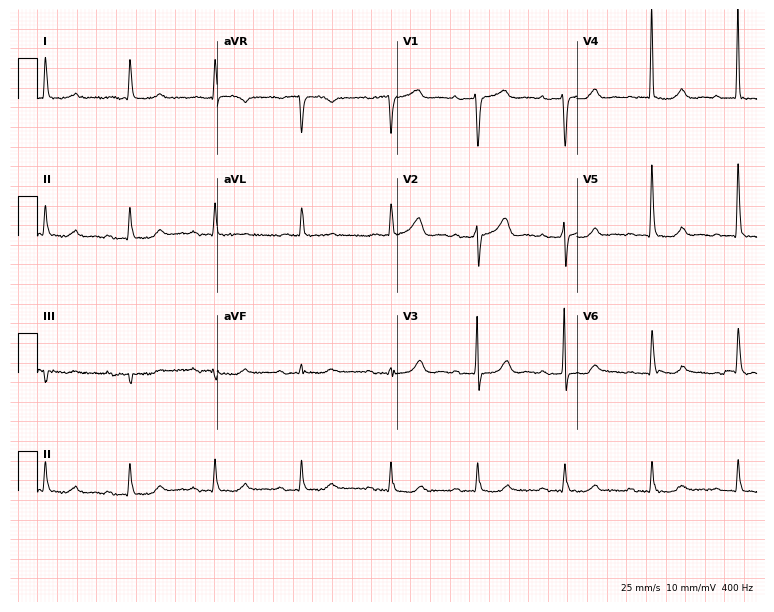
12-lead ECG from a 79-year-old female patient (7.3-second recording at 400 Hz). No first-degree AV block, right bundle branch block (RBBB), left bundle branch block (LBBB), sinus bradycardia, atrial fibrillation (AF) or sinus tachycardia recorded for this tracing. Other findings, if any, are not listed.